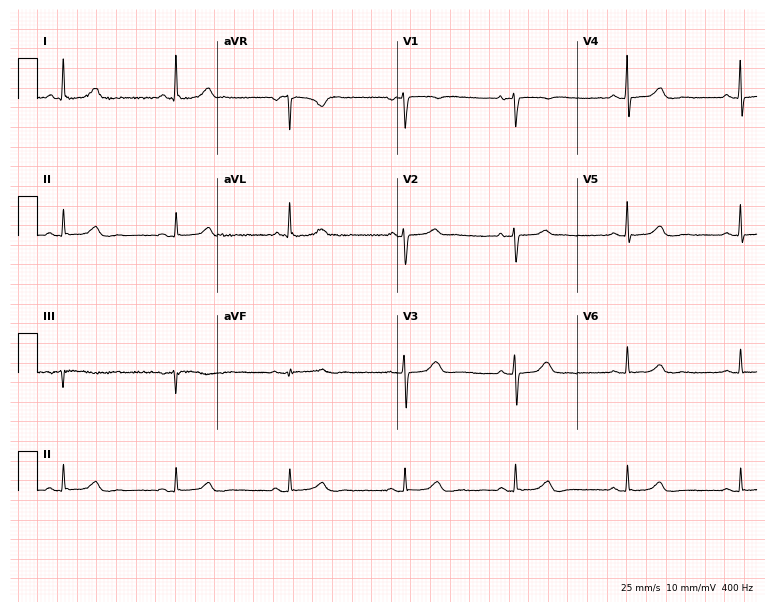
12-lead ECG (7.3-second recording at 400 Hz) from a female, 73 years old. Labelled as a normal ECG.